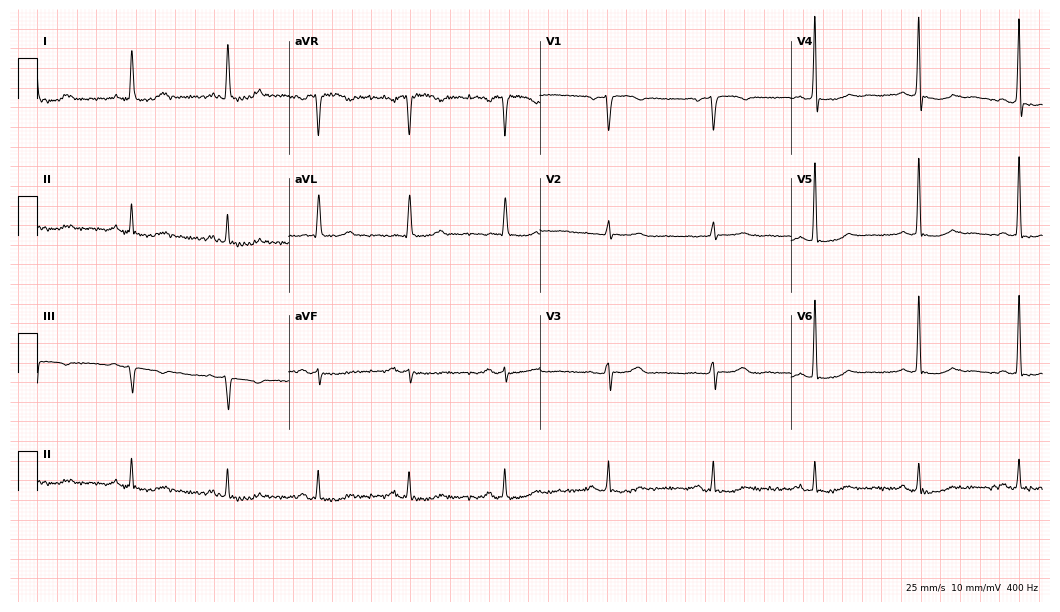
ECG — a 70-year-old woman. Screened for six findings — first-degree AV block, right bundle branch block, left bundle branch block, sinus bradycardia, atrial fibrillation, sinus tachycardia — none is recorded. Other findings, if any, are not listed.